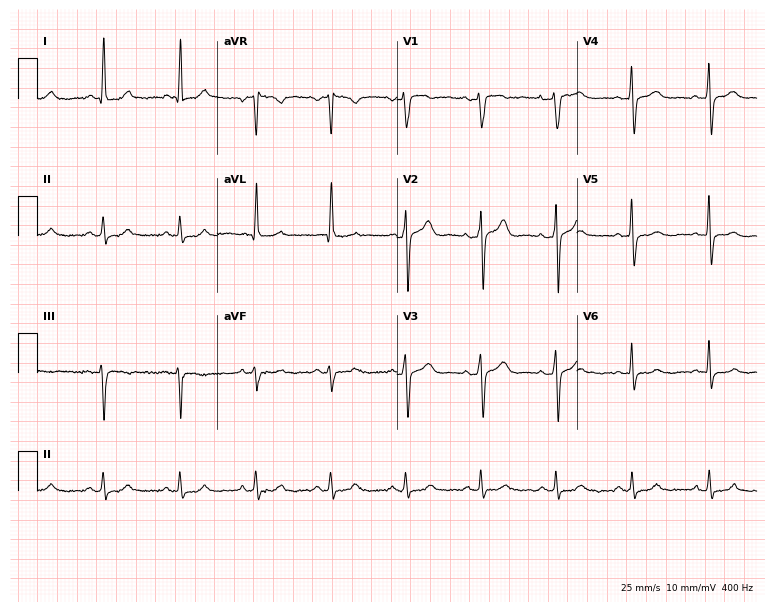
Electrocardiogram (7.3-second recording at 400 Hz), a man, 62 years old. Overall reading on record: normal ECG.